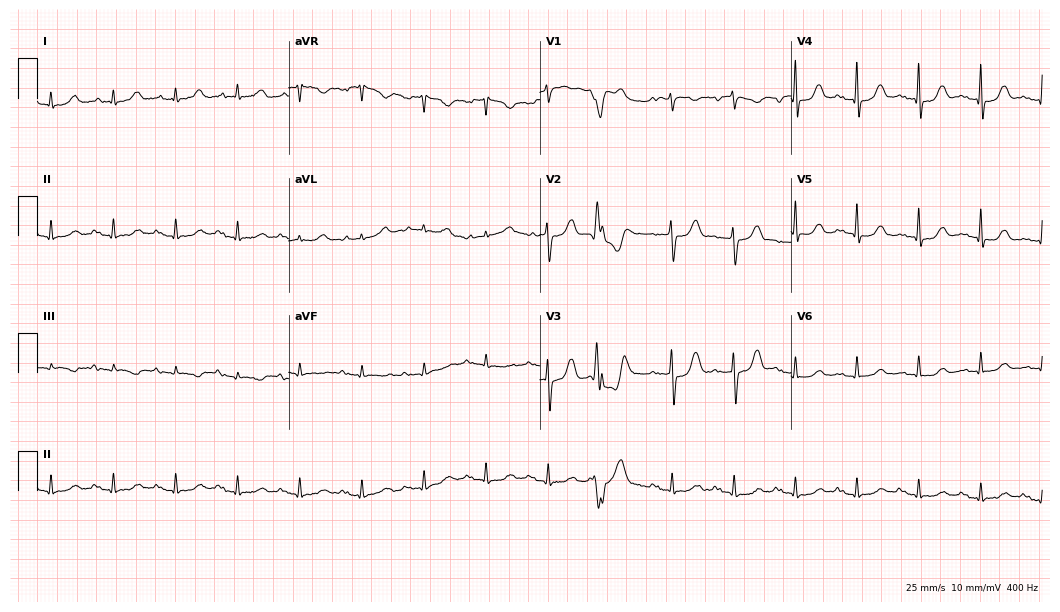
12-lead ECG from a female patient, 80 years old. No first-degree AV block, right bundle branch block, left bundle branch block, sinus bradycardia, atrial fibrillation or sinus tachycardia recorded for this tracing.